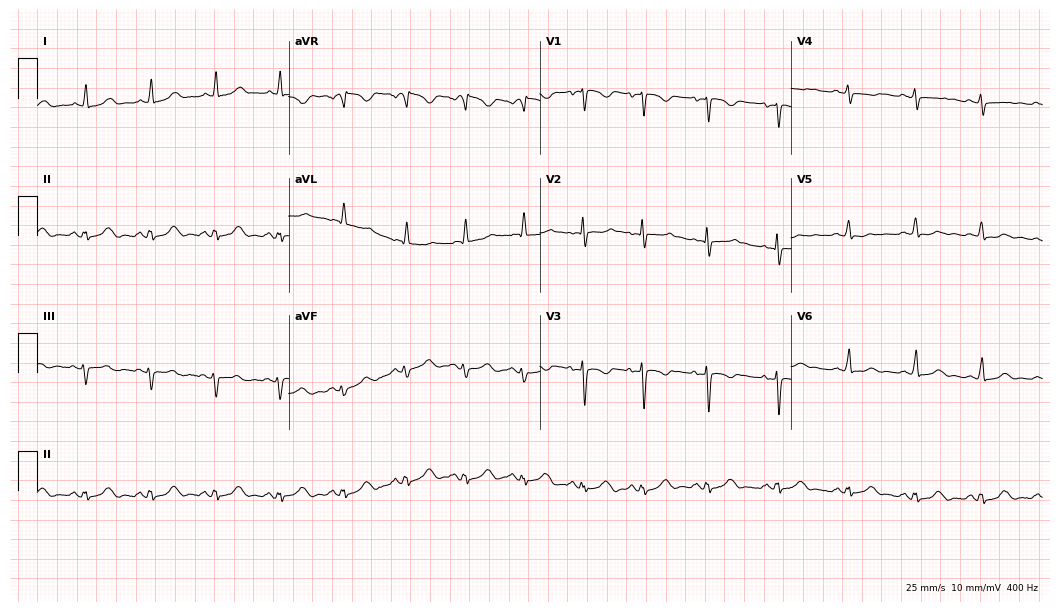
ECG (10.2-second recording at 400 Hz) — a female, 38 years old. Labelled as a normal ECG.